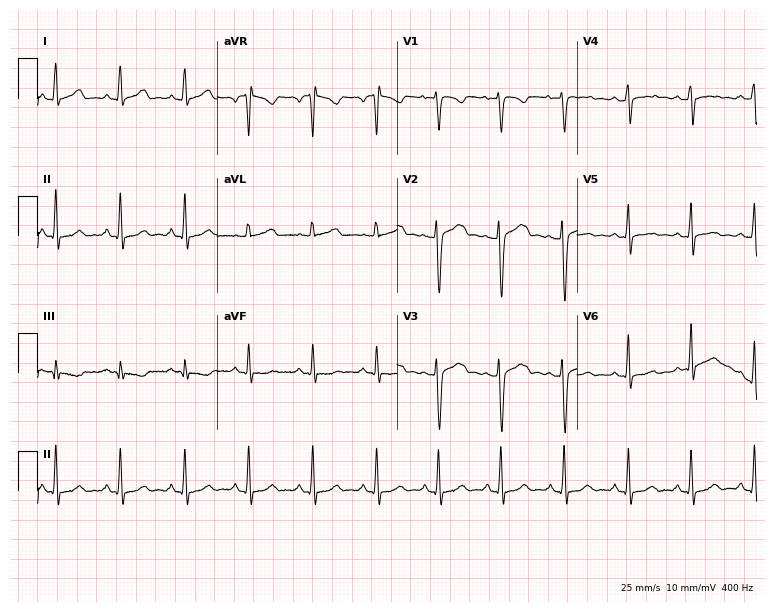
12-lead ECG from a female, 22 years old. No first-degree AV block, right bundle branch block, left bundle branch block, sinus bradycardia, atrial fibrillation or sinus tachycardia recorded for this tracing. Only these six findings were labelled.